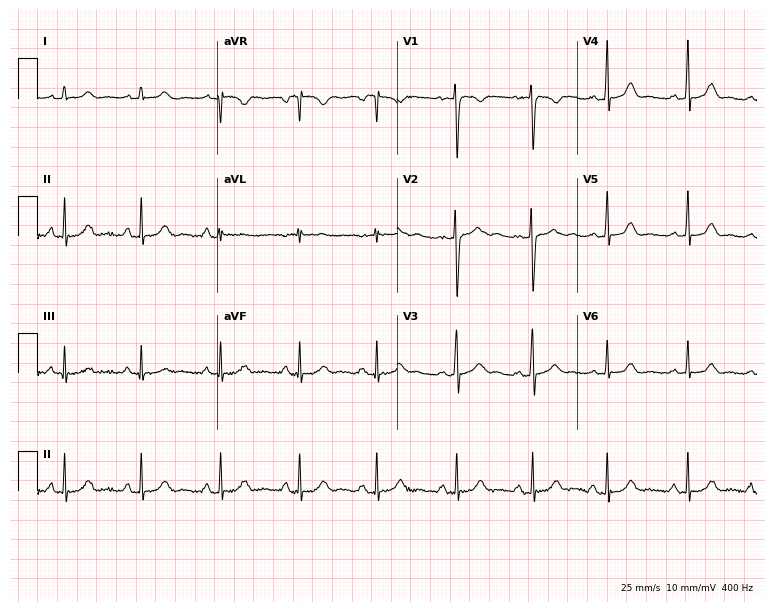
12-lead ECG from a 17-year-old woman. Labelled as a normal ECG.